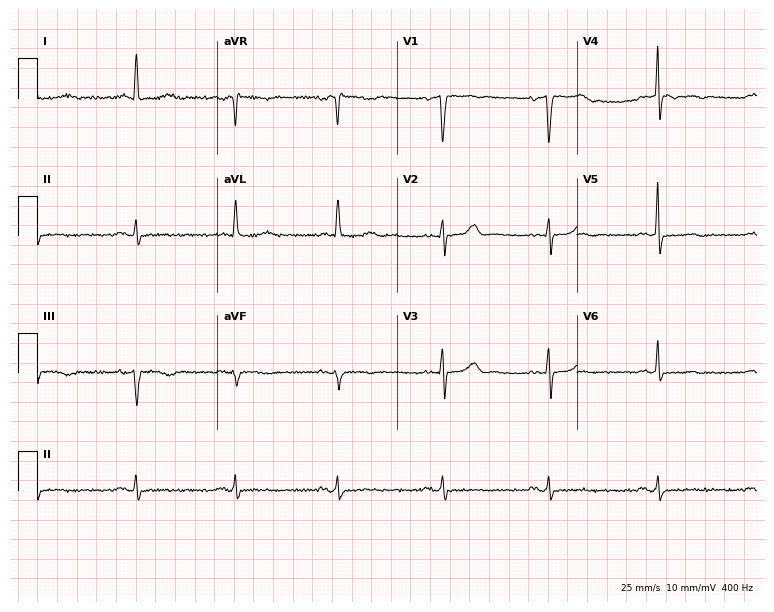
12-lead ECG from a 69-year-old male. Recorded interpretation: within normal limits.